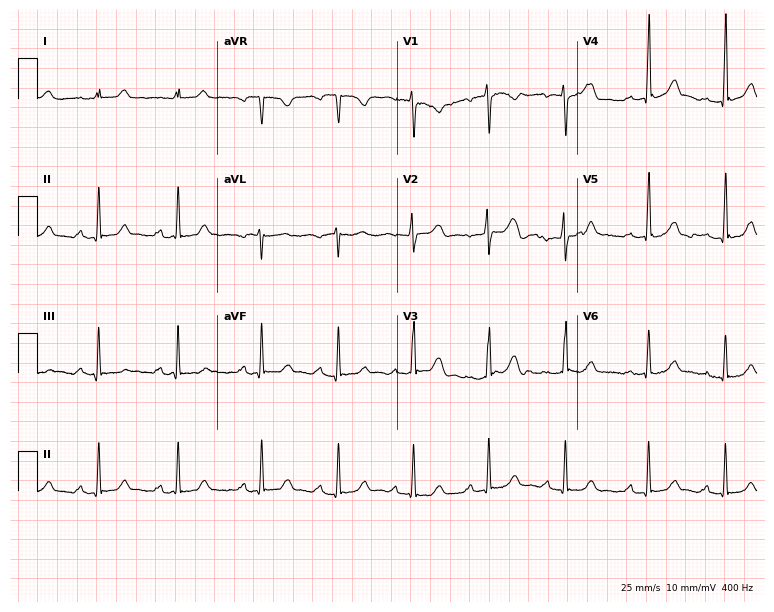
Electrocardiogram, a female patient, 26 years old. Overall reading on record: normal ECG.